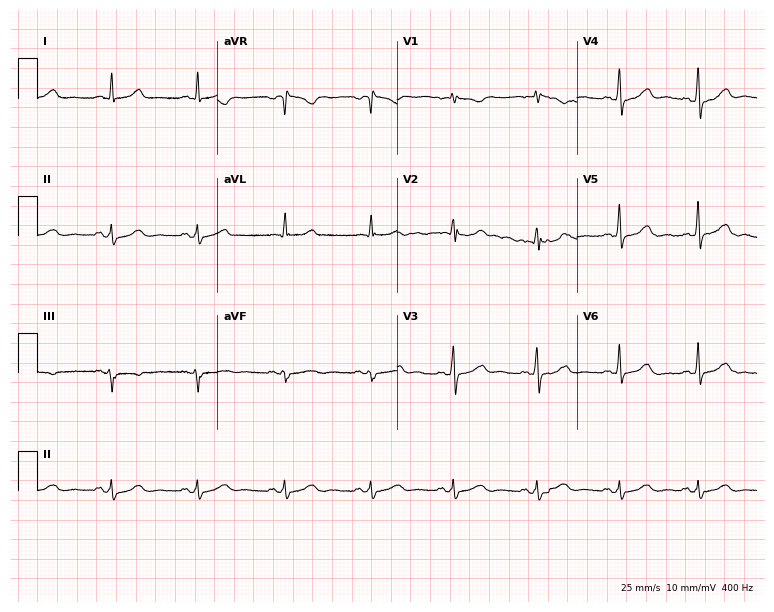
ECG — a female, 58 years old. Labelled as a normal ECG.